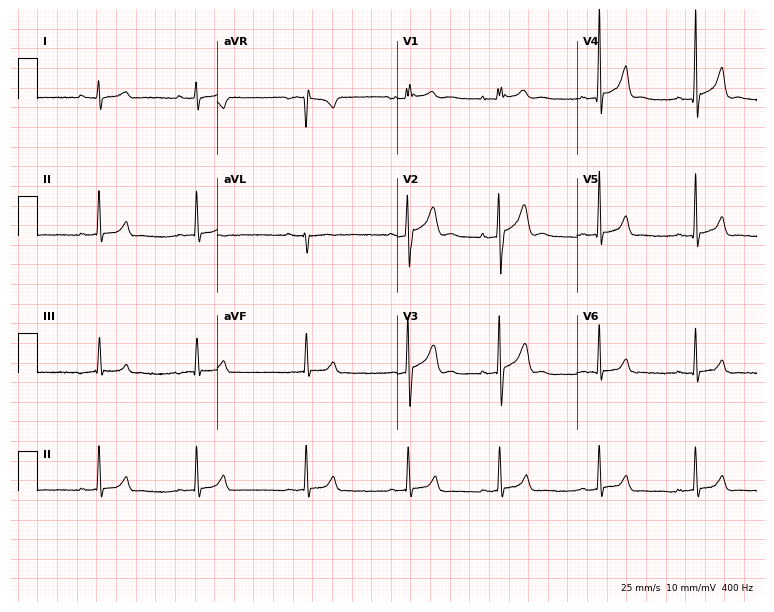
12-lead ECG from a 20-year-old male patient. Labelled as a normal ECG.